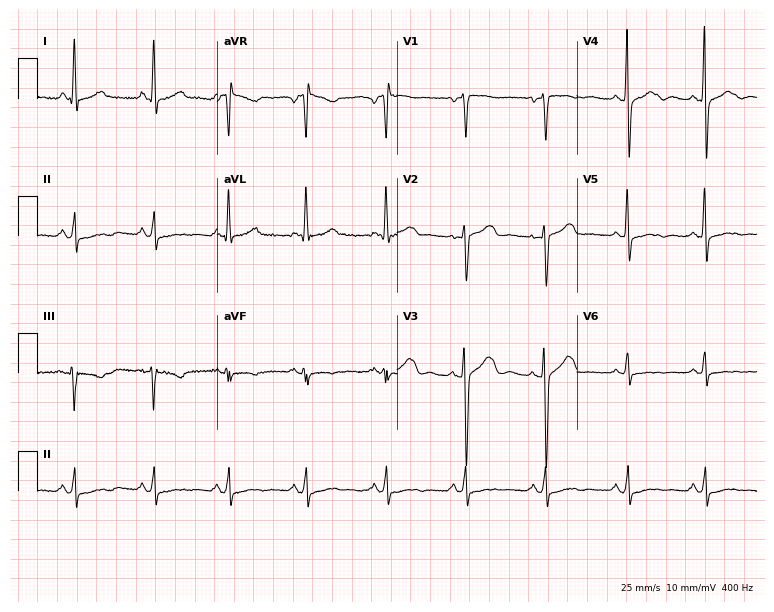
Electrocardiogram, a woman, 46 years old. Of the six screened findings (first-degree AV block, right bundle branch block, left bundle branch block, sinus bradycardia, atrial fibrillation, sinus tachycardia), none is recorded. Findings outside these six are not listed.